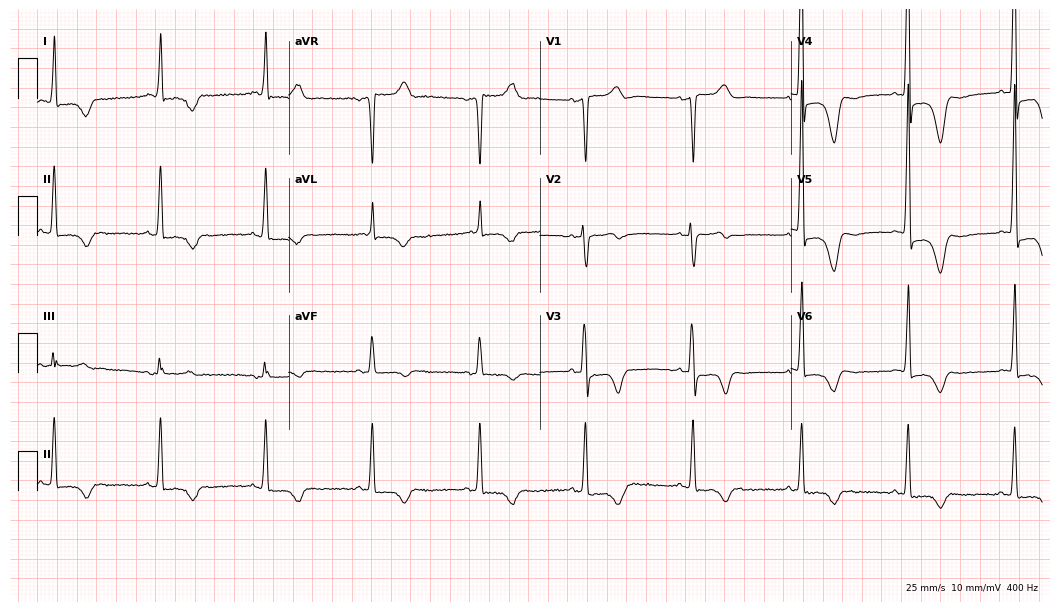
Electrocardiogram (10.2-second recording at 400 Hz), a female patient, 78 years old. Of the six screened findings (first-degree AV block, right bundle branch block, left bundle branch block, sinus bradycardia, atrial fibrillation, sinus tachycardia), none is recorded. Only these six findings were labelled.